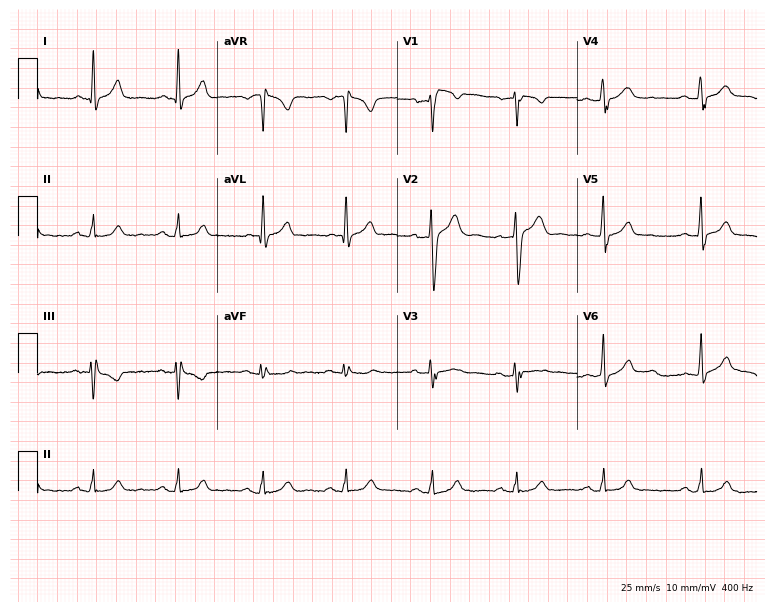
Resting 12-lead electrocardiogram. Patient: a male, 53 years old. Read as a normal ECG.